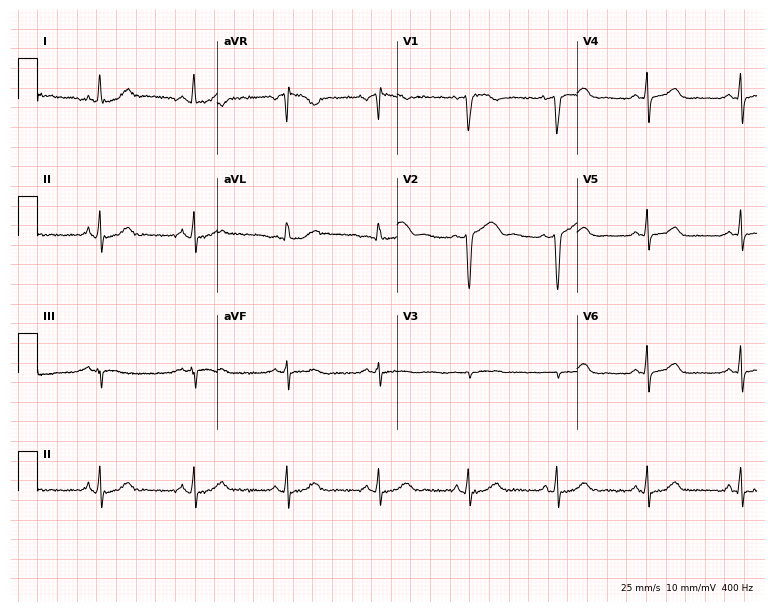
12-lead ECG from a female patient, 52 years old (7.3-second recording at 400 Hz). Recorded interpretation: within normal limits.